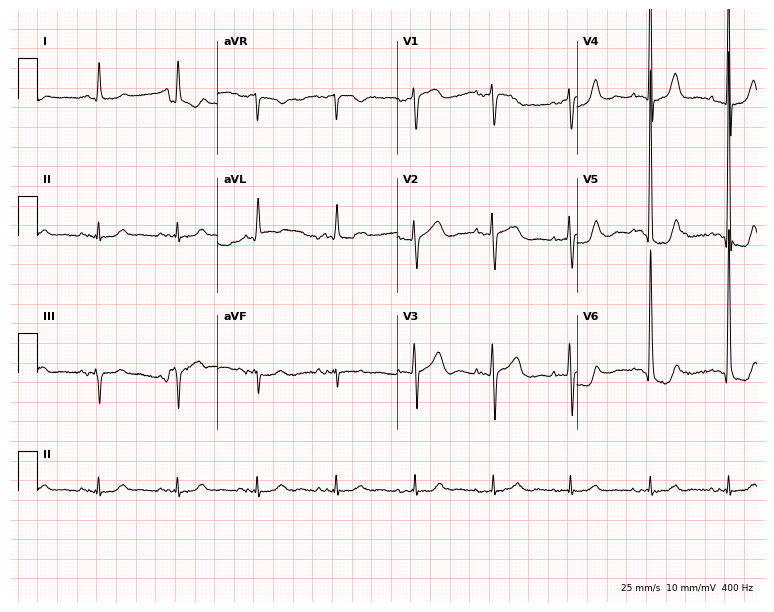
12-lead ECG from a 70-year-old male. Labelled as a normal ECG.